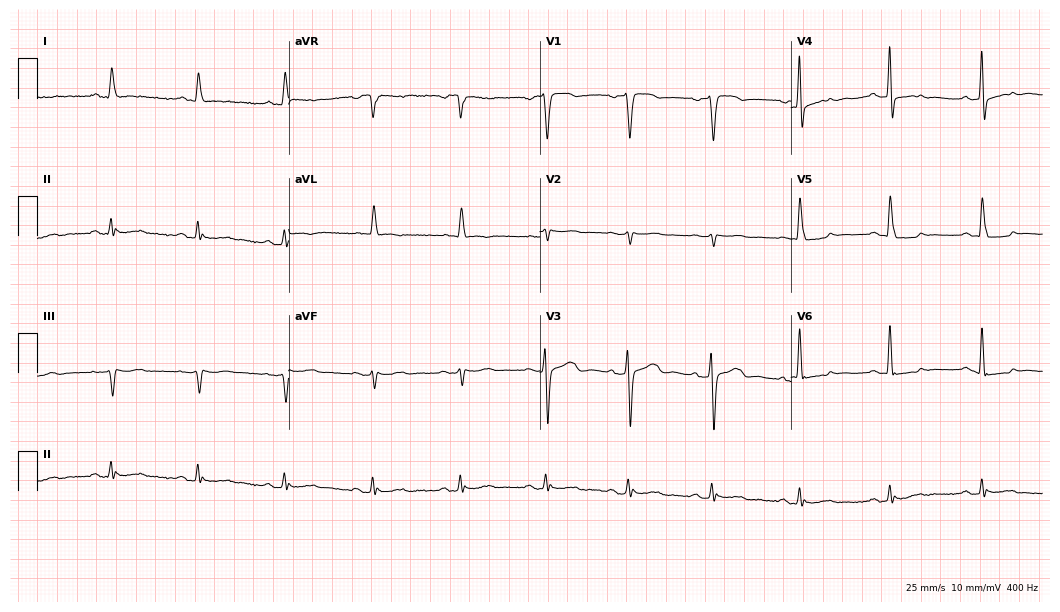
Resting 12-lead electrocardiogram (10.2-second recording at 400 Hz). Patient: a male, 60 years old. None of these six findings is recorded: first-degree AV block, right bundle branch block (RBBB), left bundle branch block (LBBB), sinus bradycardia, atrial fibrillation (AF), sinus tachycardia.